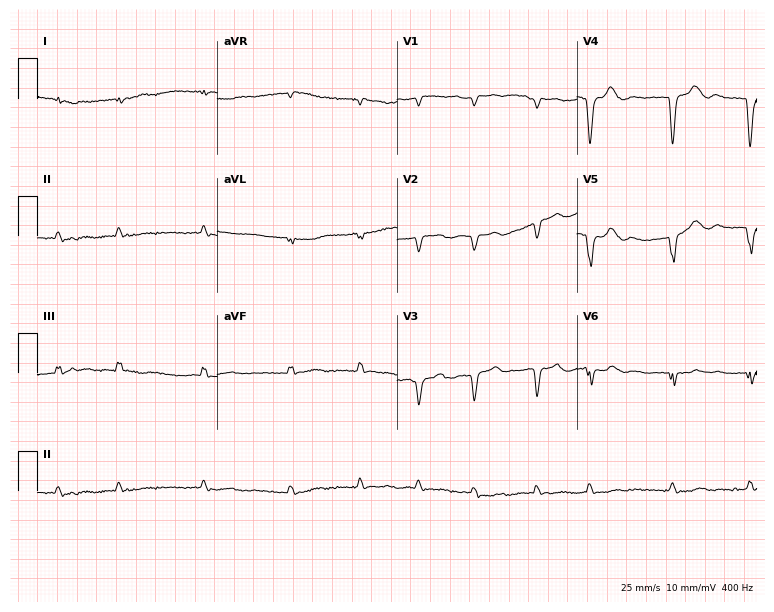
Electrocardiogram, a male, 82 years old. Interpretation includes atrial fibrillation.